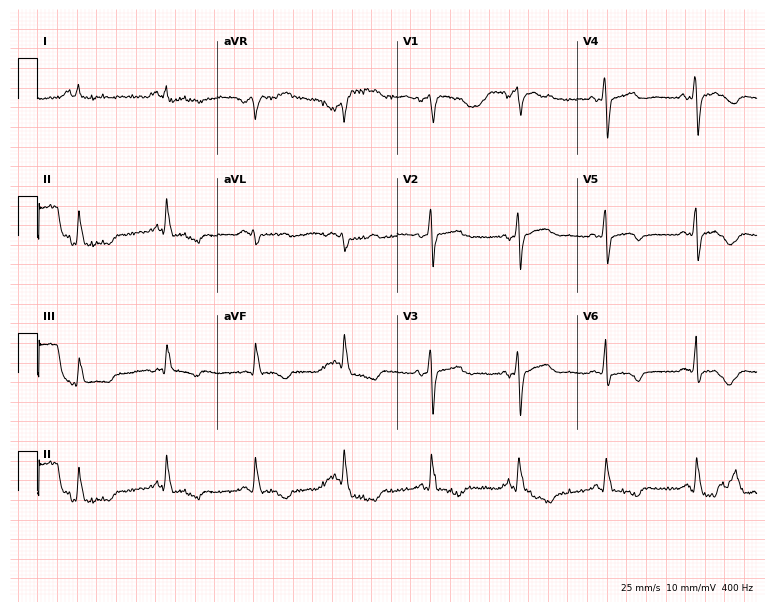
12-lead ECG from a woman, 77 years old (7.3-second recording at 400 Hz). No first-degree AV block, right bundle branch block, left bundle branch block, sinus bradycardia, atrial fibrillation or sinus tachycardia recorded for this tracing. Only these six findings were labelled.